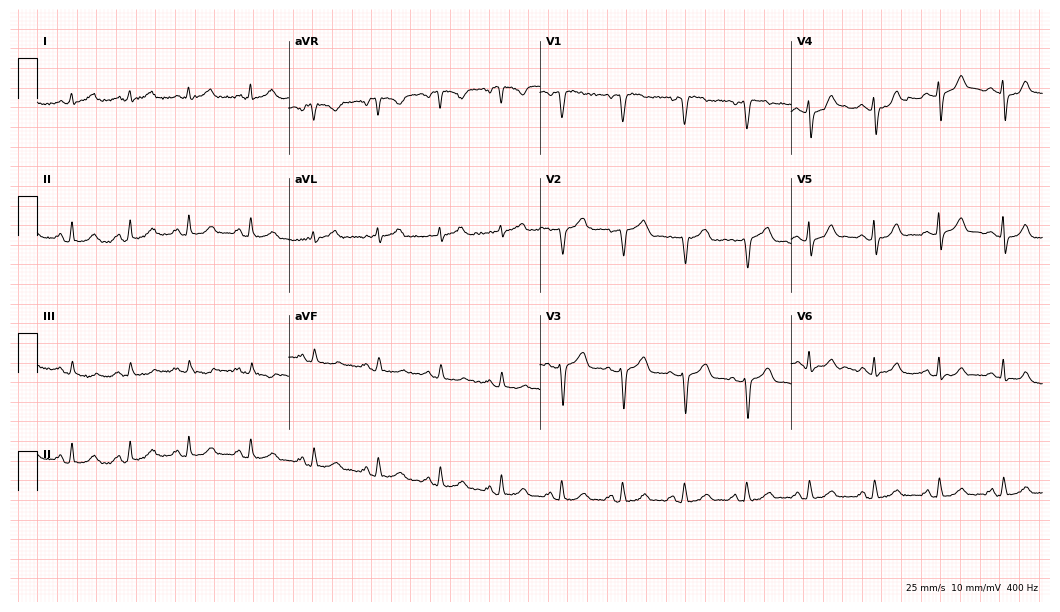
Electrocardiogram, a 39-year-old woman. Overall reading on record: normal ECG.